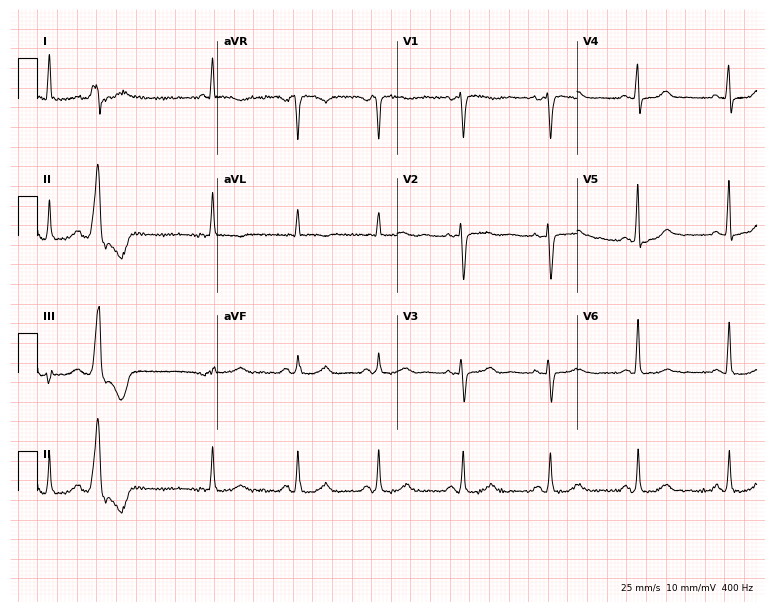
Resting 12-lead electrocardiogram. Patient: a female, 58 years old. None of these six findings is recorded: first-degree AV block, right bundle branch block, left bundle branch block, sinus bradycardia, atrial fibrillation, sinus tachycardia.